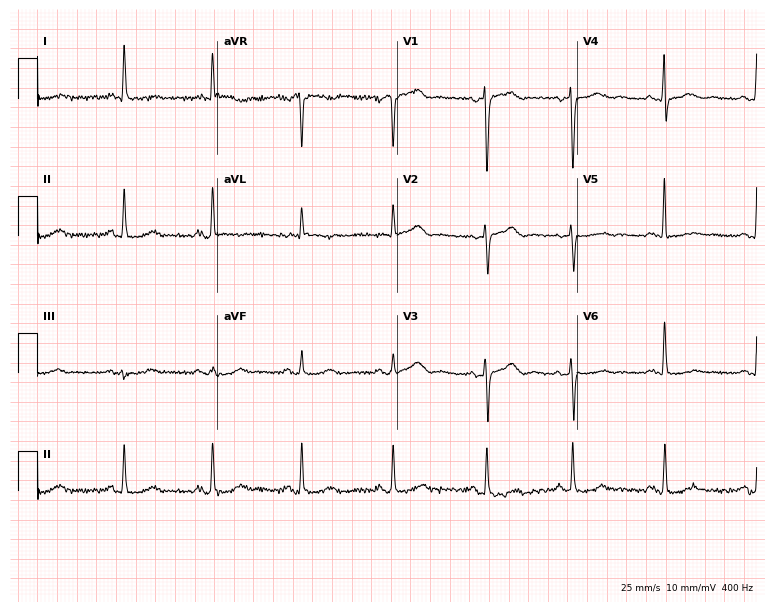
12-lead ECG from a woman, 78 years old. No first-degree AV block, right bundle branch block, left bundle branch block, sinus bradycardia, atrial fibrillation or sinus tachycardia recorded for this tracing.